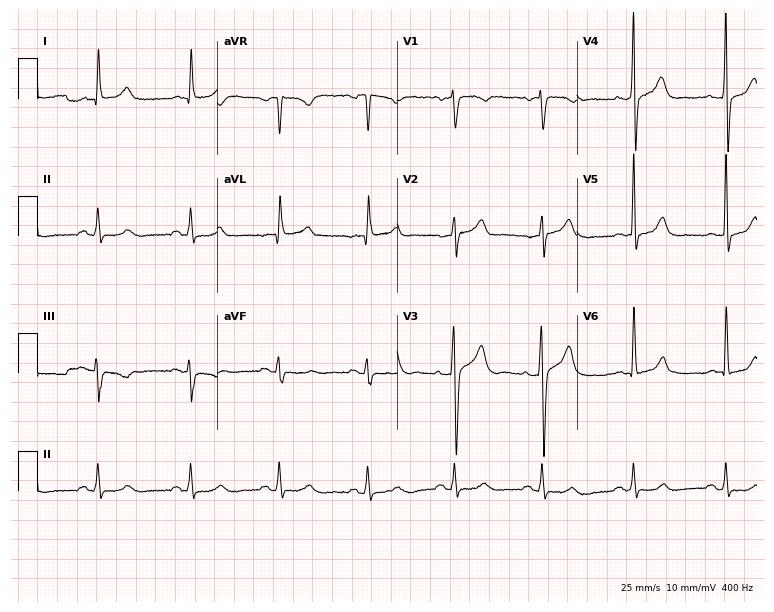
Electrocardiogram, a male, 53 years old. Of the six screened findings (first-degree AV block, right bundle branch block (RBBB), left bundle branch block (LBBB), sinus bradycardia, atrial fibrillation (AF), sinus tachycardia), none is recorded.